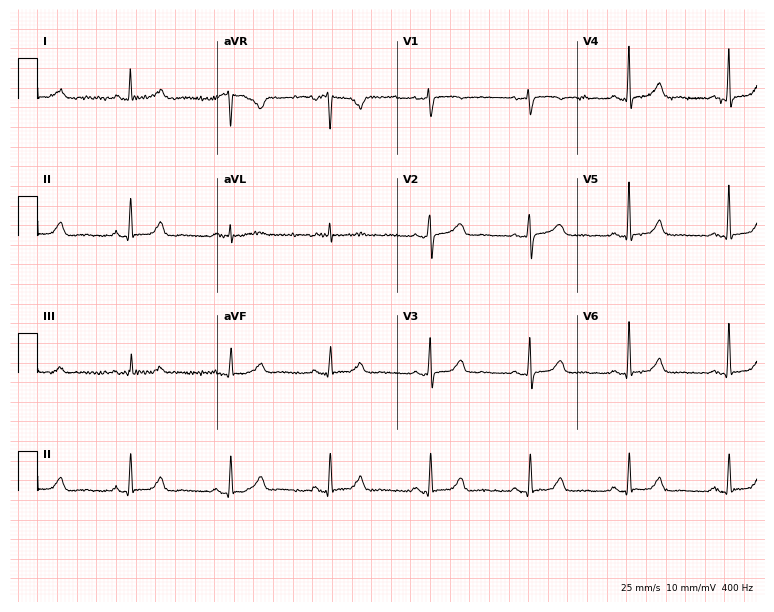
Electrocardiogram (7.3-second recording at 400 Hz), a 62-year-old woman. Overall reading on record: normal ECG.